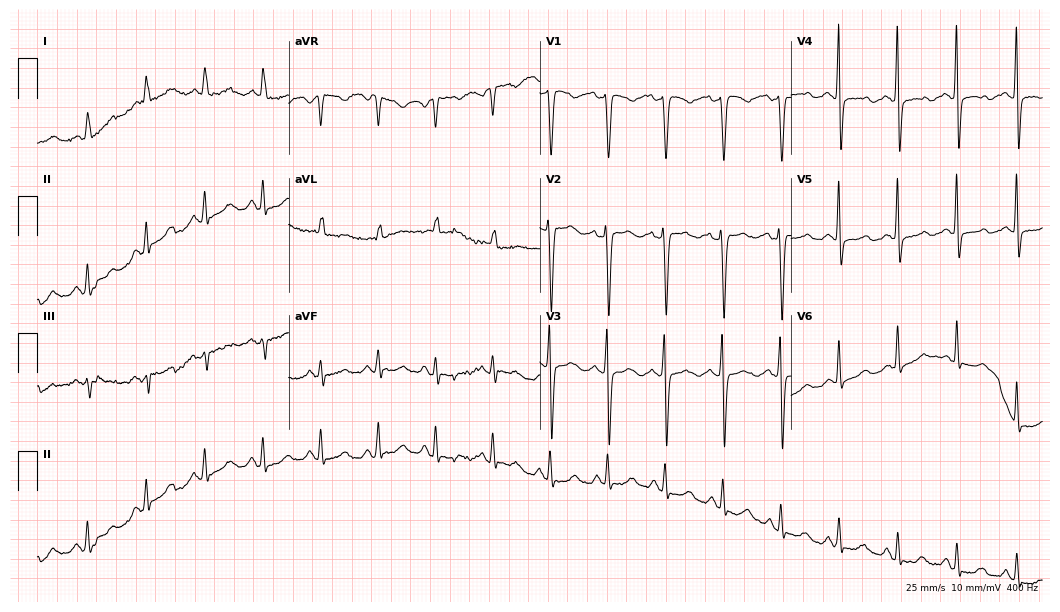
Electrocardiogram, a 68-year-old female. Of the six screened findings (first-degree AV block, right bundle branch block, left bundle branch block, sinus bradycardia, atrial fibrillation, sinus tachycardia), none is recorded. Other findings, if any, are not listed.